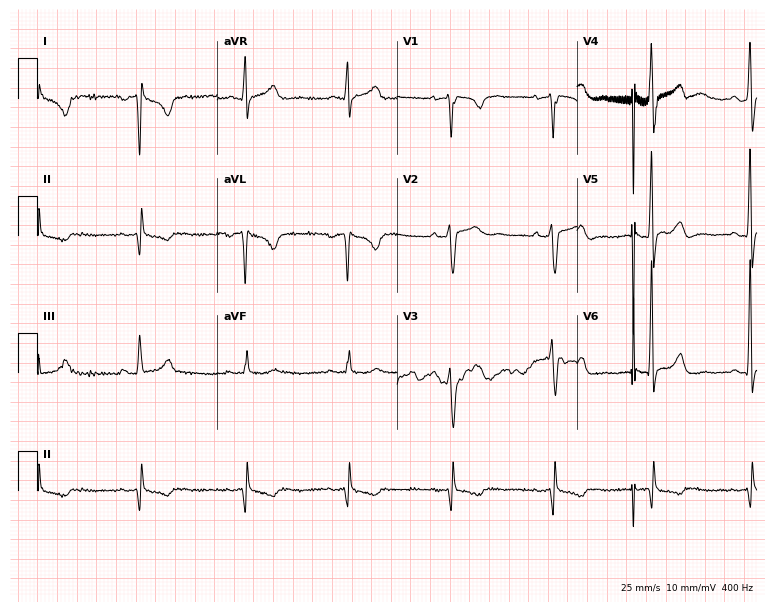
ECG — a 55-year-old male patient. Screened for six findings — first-degree AV block, right bundle branch block (RBBB), left bundle branch block (LBBB), sinus bradycardia, atrial fibrillation (AF), sinus tachycardia — none is recorded.